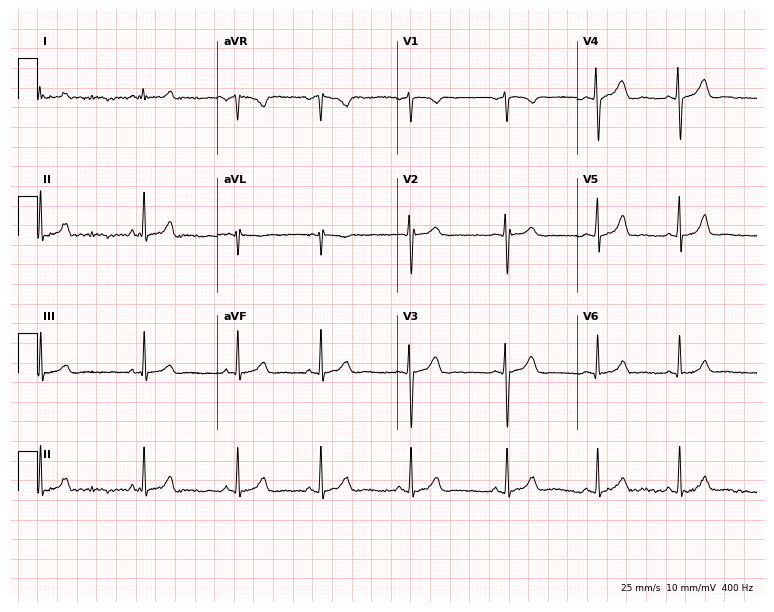
ECG (7.3-second recording at 400 Hz) — a female patient, 19 years old. Labelled as a normal ECG.